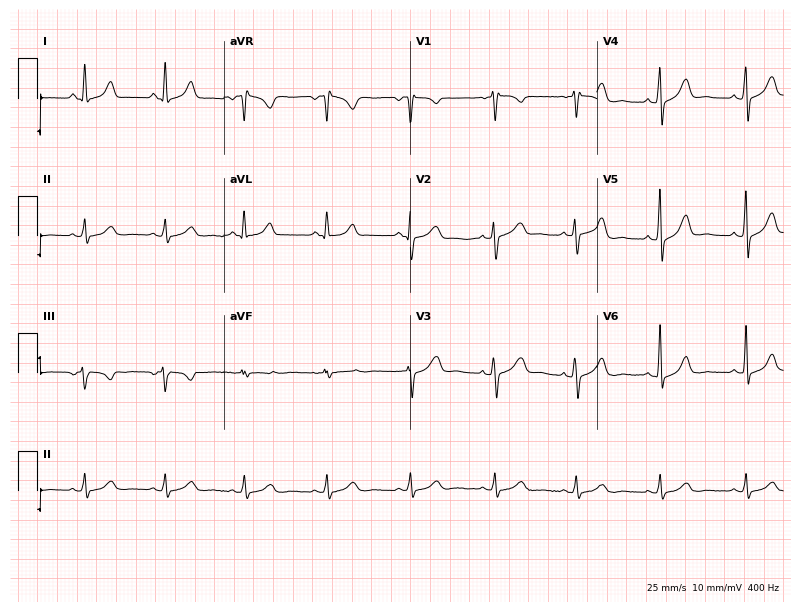
Electrocardiogram, a 41-year-old female patient. Overall reading on record: normal ECG.